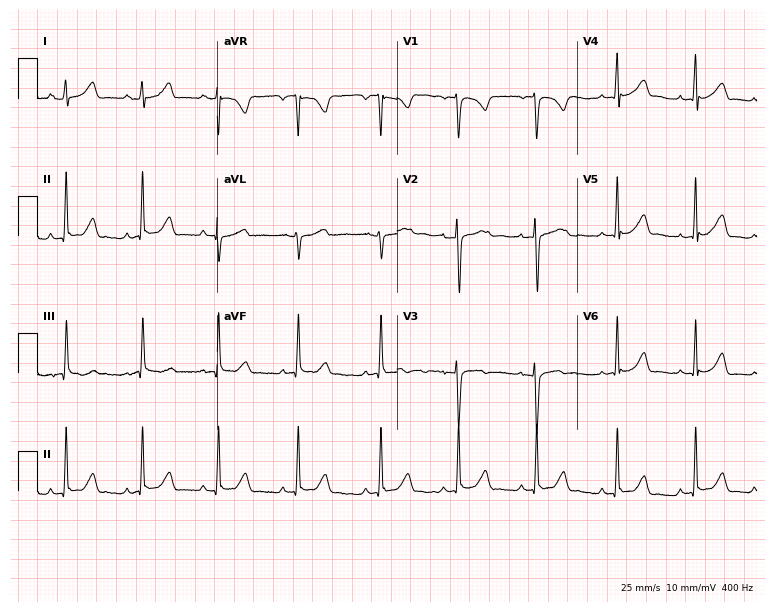
Resting 12-lead electrocardiogram (7.3-second recording at 400 Hz). Patient: a woman, 18 years old. Read as a normal ECG.